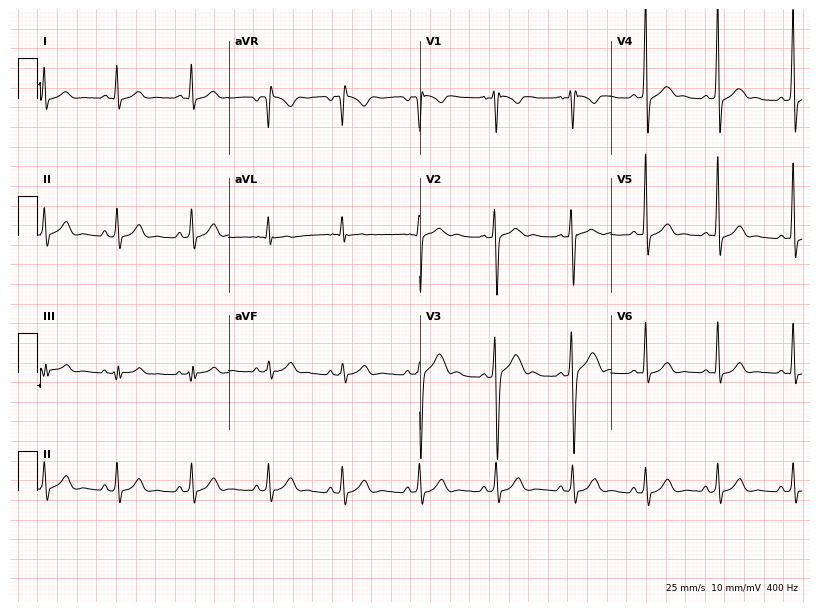
ECG — a male, 18 years old. Labelled as a normal ECG.